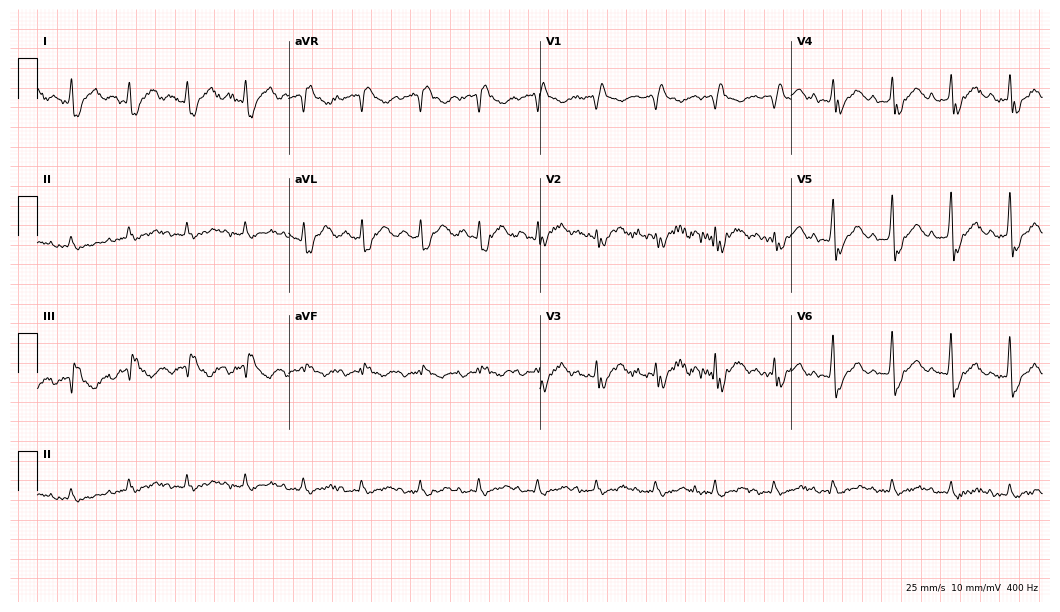
Electrocardiogram (10.2-second recording at 400 Hz), a male patient, 58 years old. Interpretation includes right bundle branch block, sinus tachycardia (a sinus rate of 100 beats per minute or more).